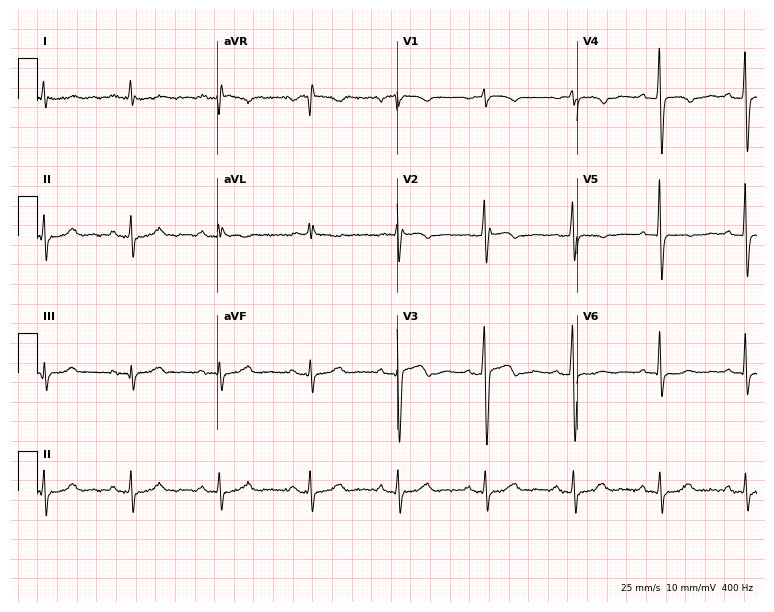
12-lead ECG from a woman, 67 years old (7.3-second recording at 400 Hz). No first-degree AV block, right bundle branch block, left bundle branch block, sinus bradycardia, atrial fibrillation or sinus tachycardia recorded for this tracing.